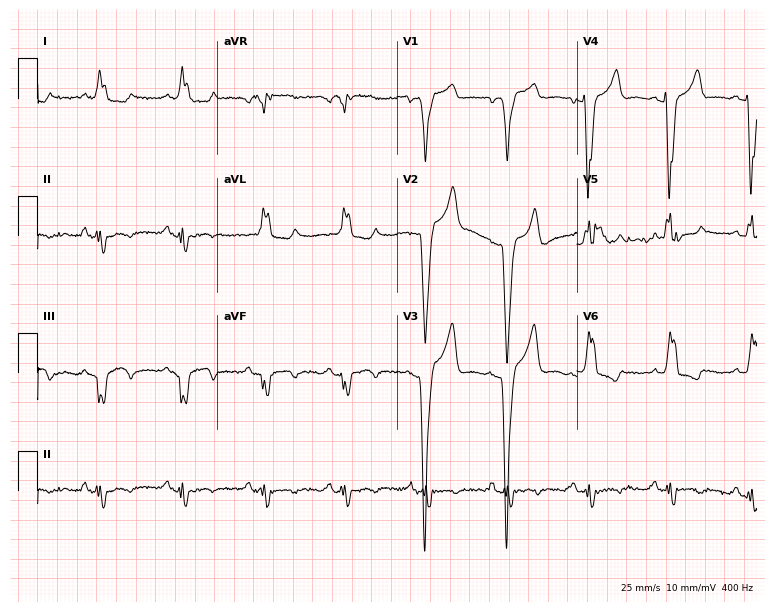
ECG — a 69-year-old woman. Findings include left bundle branch block (LBBB).